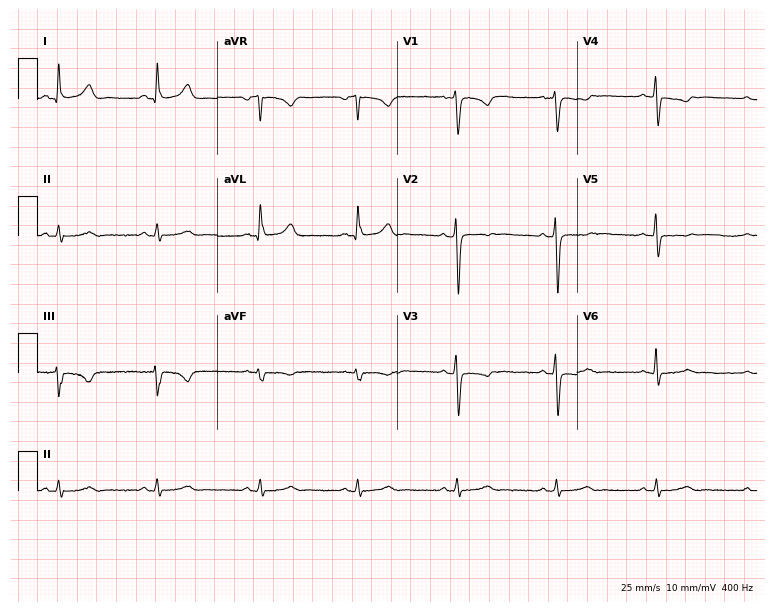
Resting 12-lead electrocardiogram (7.3-second recording at 400 Hz). Patient: a 45-year-old man. None of these six findings is recorded: first-degree AV block, right bundle branch block, left bundle branch block, sinus bradycardia, atrial fibrillation, sinus tachycardia. Other findings, if any, are not listed.